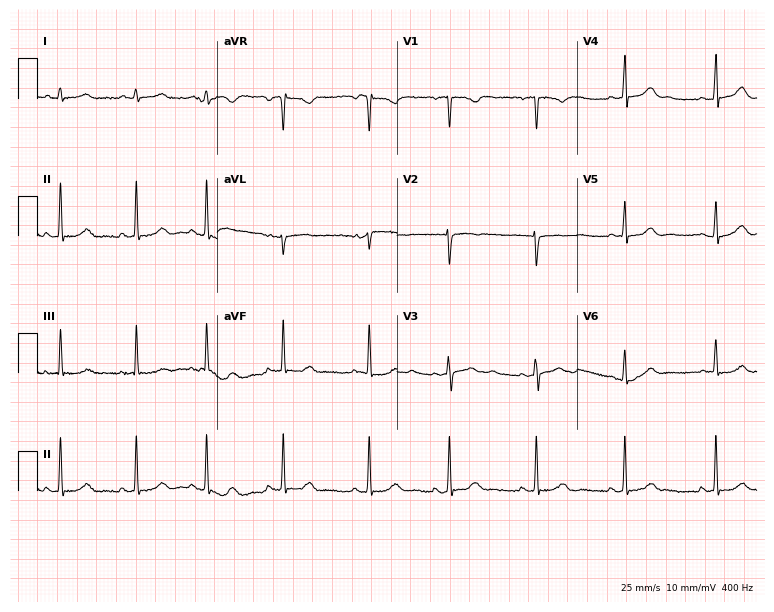
Standard 12-lead ECG recorded from a 20-year-old female patient. Read as a normal ECG.